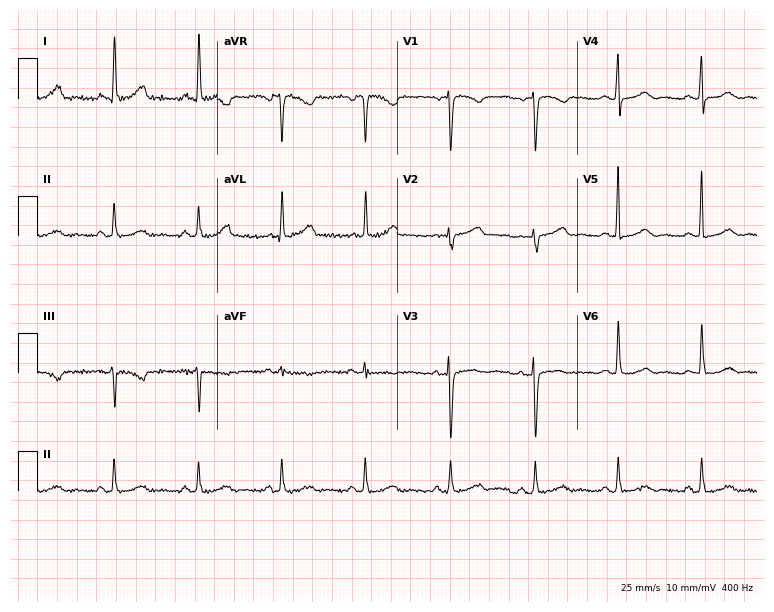
ECG — a 53-year-old female patient. Labelled as a normal ECG.